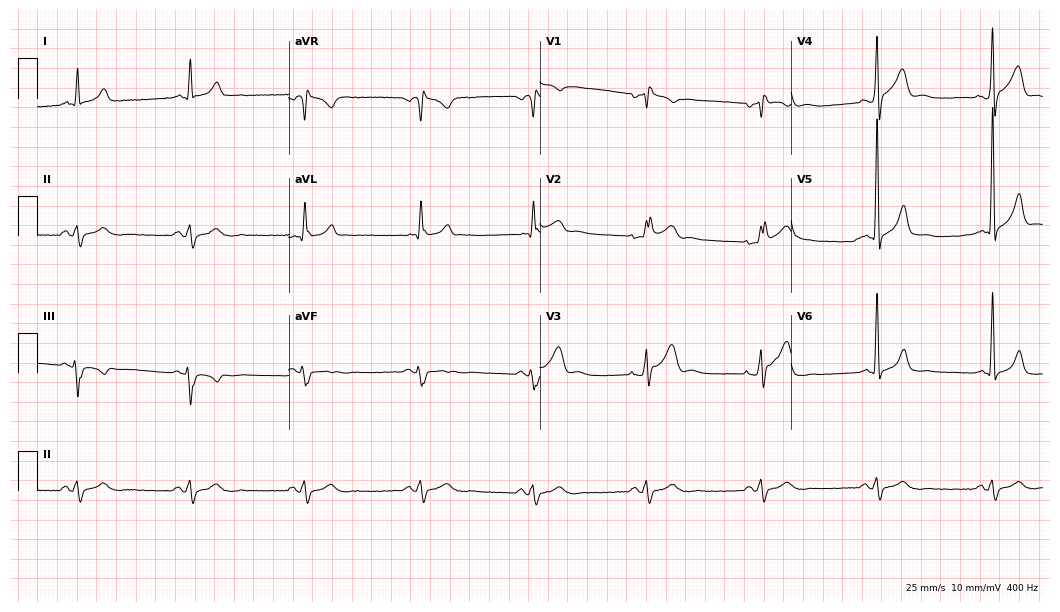
Resting 12-lead electrocardiogram. Patient: a male, 60 years old. None of these six findings is recorded: first-degree AV block, right bundle branch block (RBBB), left bundle branch block (LBBB), sinus bradycardia, atrial fibrillation (AF), sinus tachycardia. Other findings, if any, are not listed.